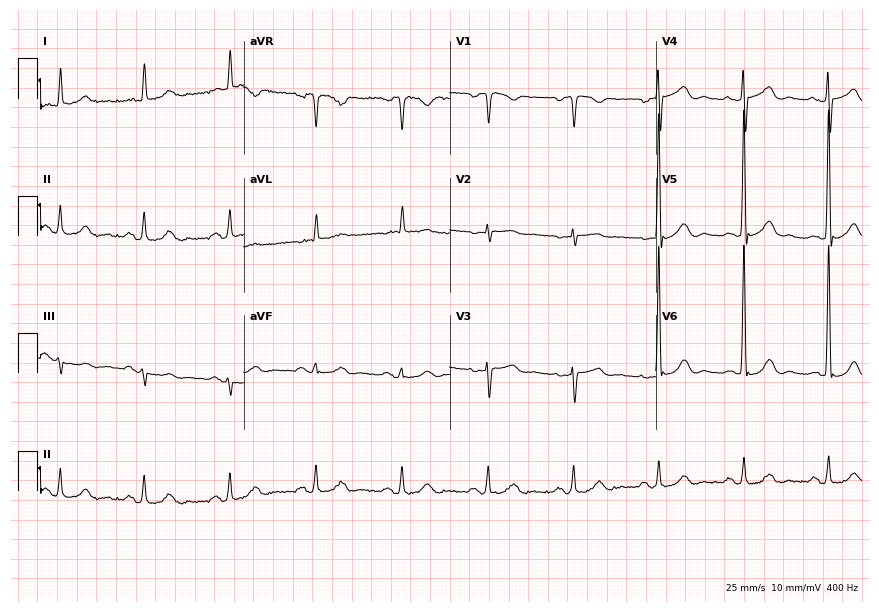
Standard 12-lead ECG recorded from a man, 72 years old. None of these six findings is recorded: first-degree AV block, right bundle branch block, left bundle branch block, sinus bradycardia, atrial fibrillation, sinus tachycardia.